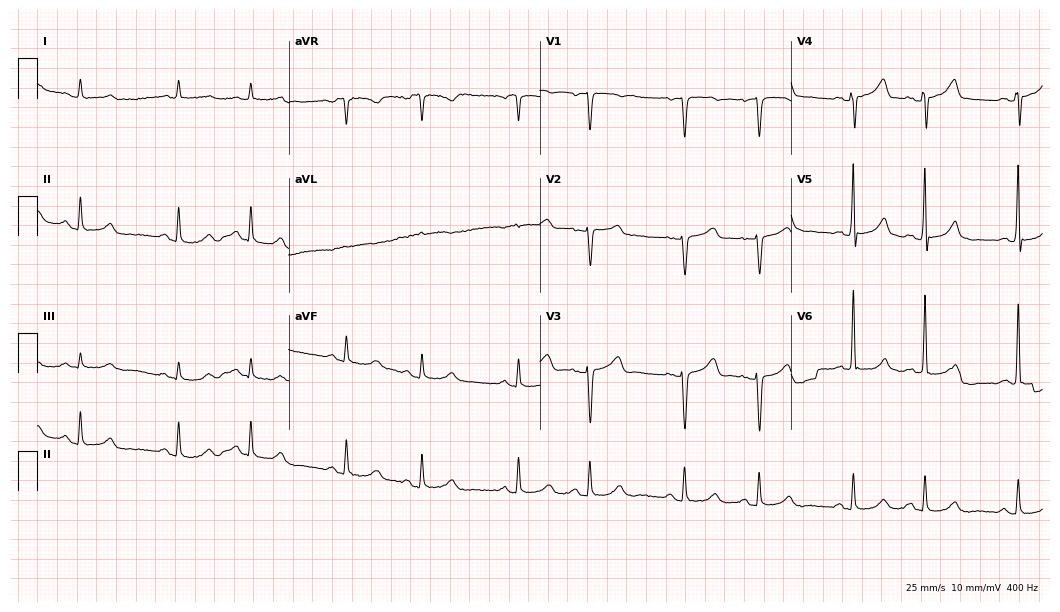
ECG (10.2-second recording at 400 Hz) — a male, 82 years old. Labelled as a normal ECG.